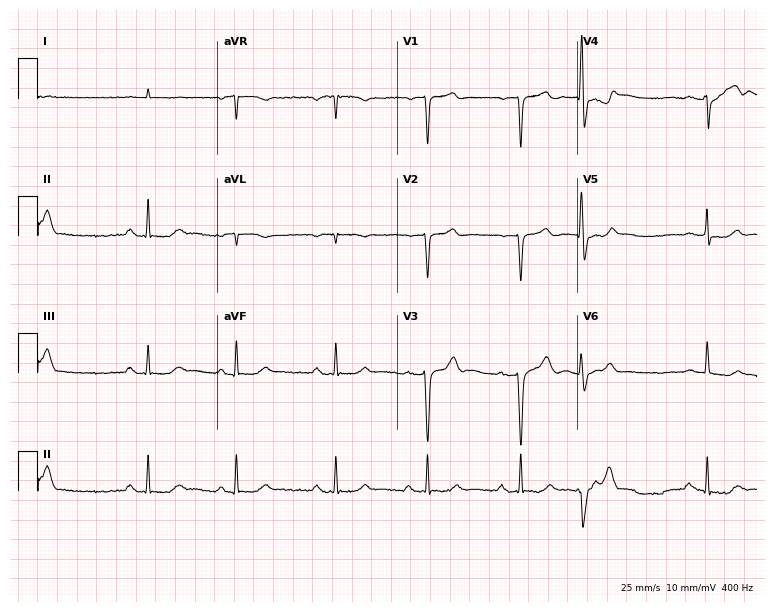
Electrocardiogram, a man, 79 years old. Of the six screened findings (first-degree AV block, right bundle branch block, left bundle branch block, sinus bradycardia, atrial fibrillation, sinus tachycardia), none is recorded. Other findings, if any, are not listed.